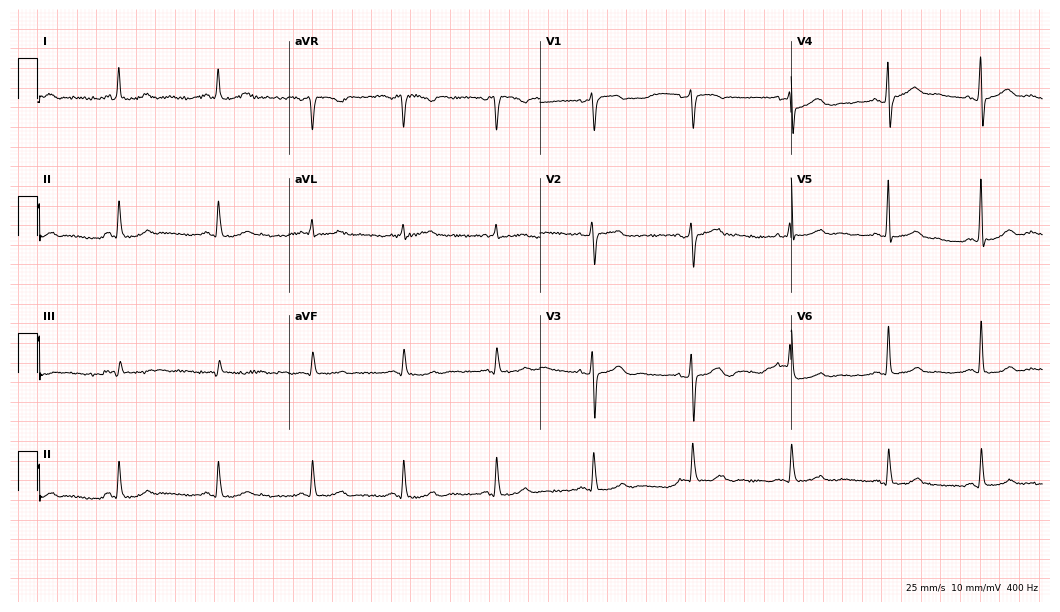
12-lead ECG from a 58-year-old female. Screened for six findings — first-degree AV block, right bundle branch block, left bundle branch block, sinus bradycardia, atrial fibrillation, sinus tachycardia — none is recorded. Only these six findings were labelled.